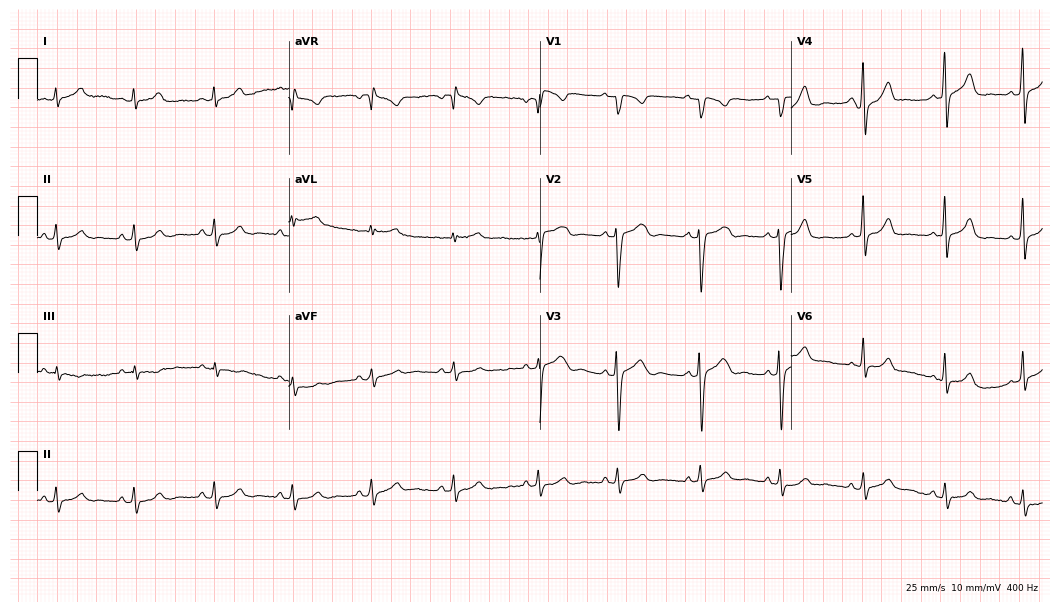
Standard 12-lead ECG recorded from a 29-year-old female. Read as a normal ECG.